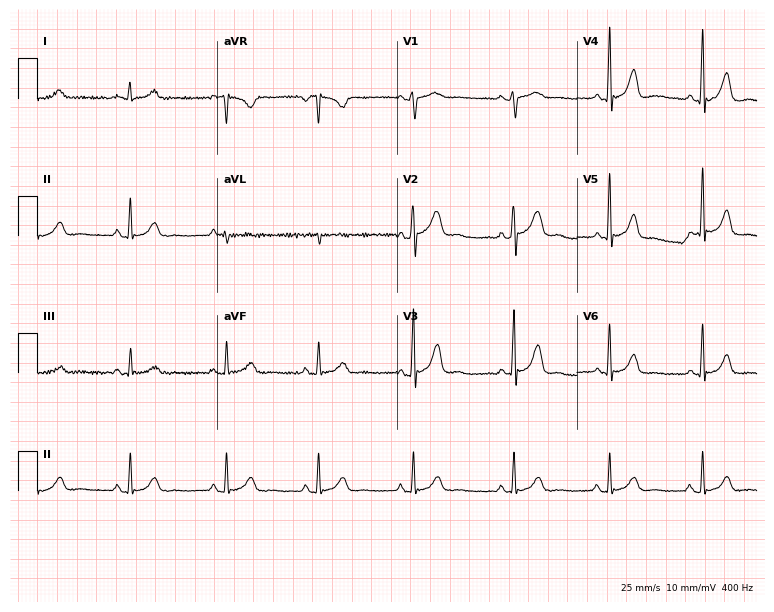
Resting 12-lead electrocardiogram. Patient: a 36-year-old female. Read as a normal ECG.